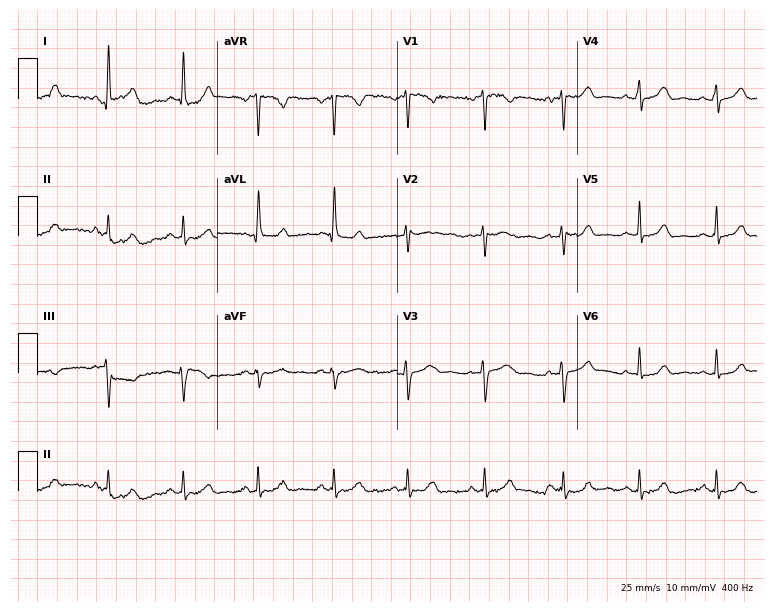
Resting 12-lead electrocardiogram. Patient: a 47-year-old woman. Read as a normal ECG.